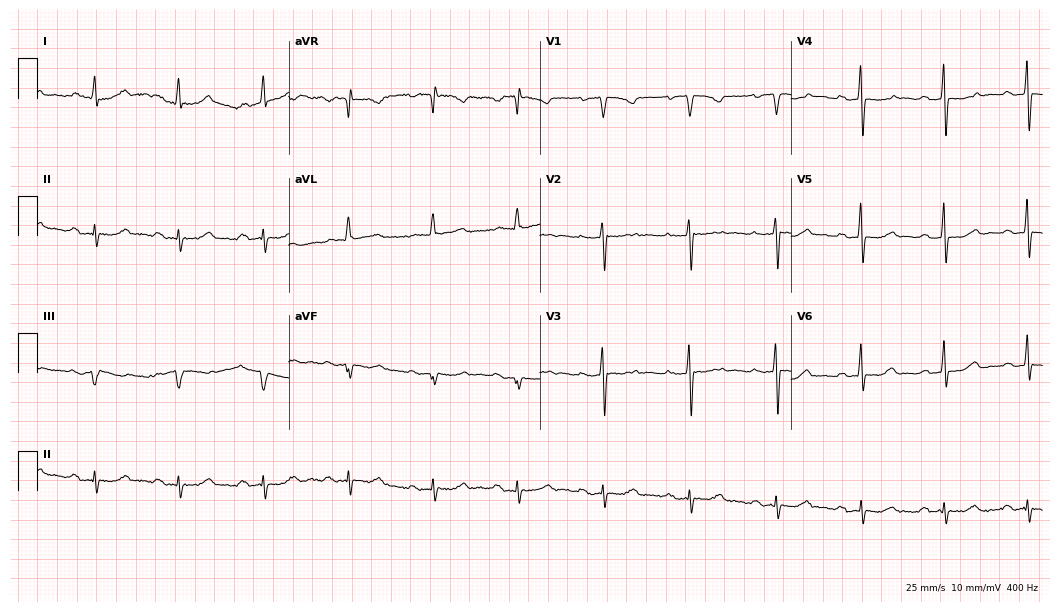
12-lead ECG from a 71-year-old woman. Screened for six findings — first-degree AV block, right bundle branch block (RBBB), left bundle branch block (LBBB), sinus bradycardia, atrial fibrillation (AF), sinus tachycardia — none is recorded.